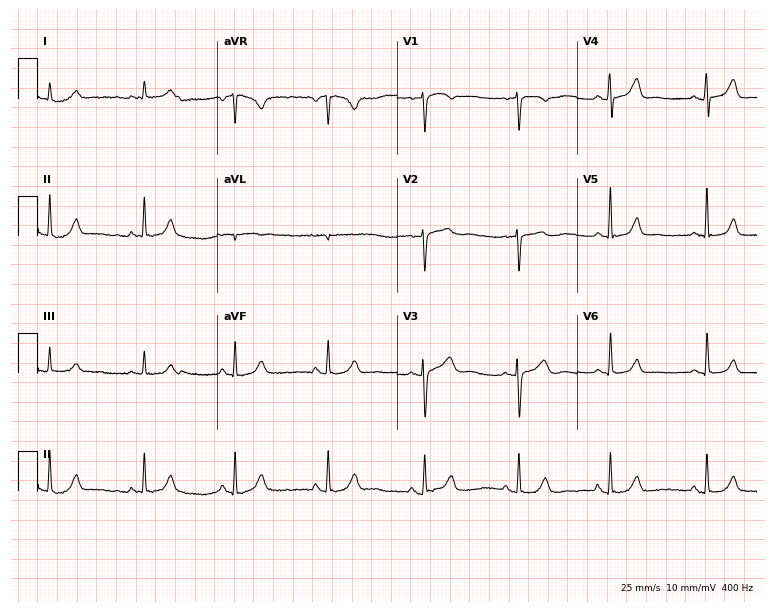
ECG (7.3-second recording at 400 Hz) — a 41-year-old female patient. Screened for six findings — first-degree AV block, right bundle branch block, left bundle branch block, sinus bradycardia, atrial fibrillation, sinus tachycardia — none is recorded.